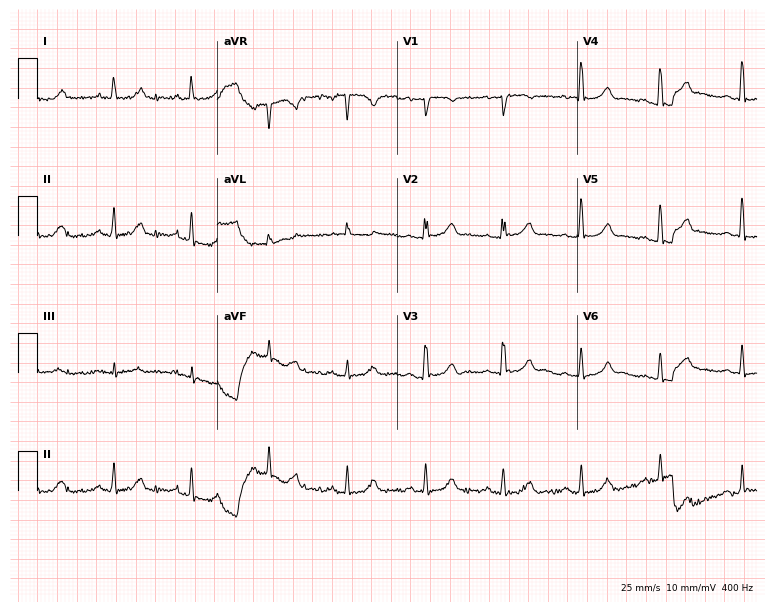
12-lead ECG from a 54-year-old man. Recorded interpretation: within normal limits.